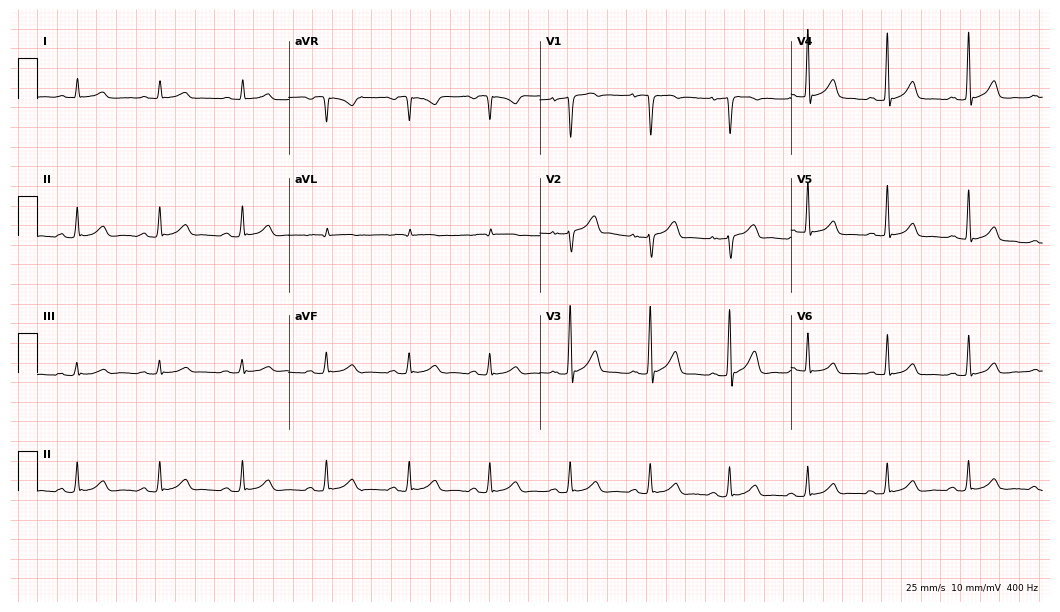
Electrocardiogram, a male, 60 years old. Overall reading on record: normal ECG.